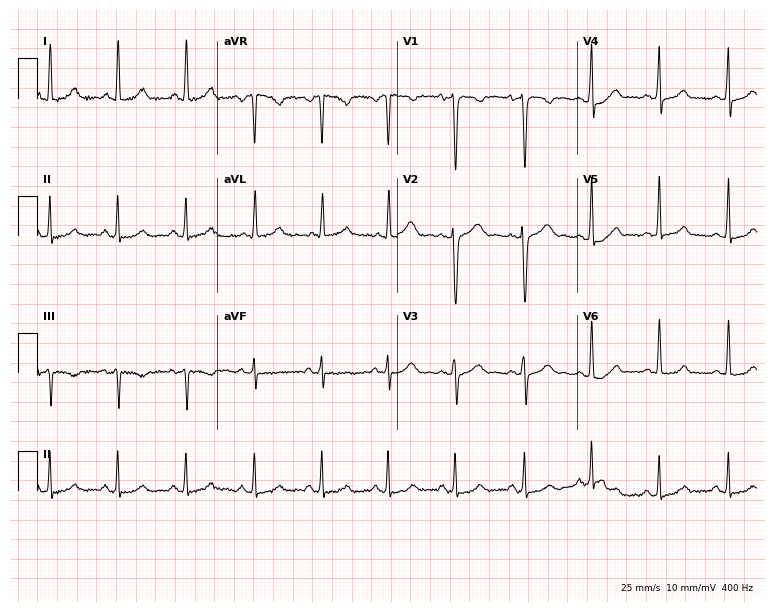
12-lead ECG from a 24-year-old woman. Screened for six findings — first-degree AV block, right bundle branch block, left bundle branch block, sinus bradycardia, atrial fibrillation, sinus tachycardia — none is recorded. Other findings, if any, are not listed.